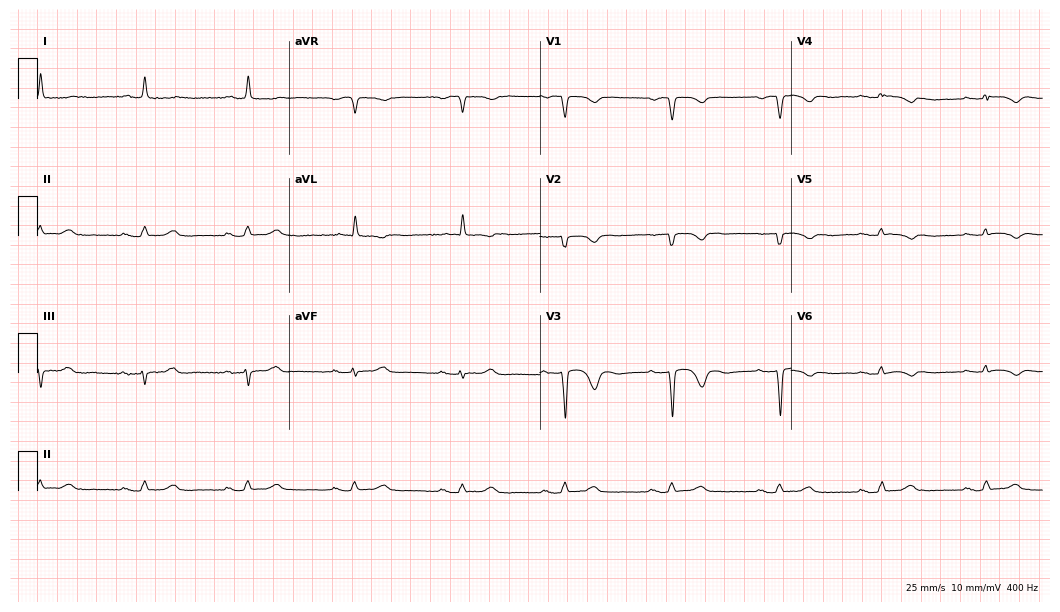
12-lead ECG from a female, 81 years old (10.2-second recording at 400 Hz). No first-degree AV block, right bundle branch block, left bundle branch block, sinus bradycardia, atrial fibrillation or sinus tachycardia recorded for this tracing.